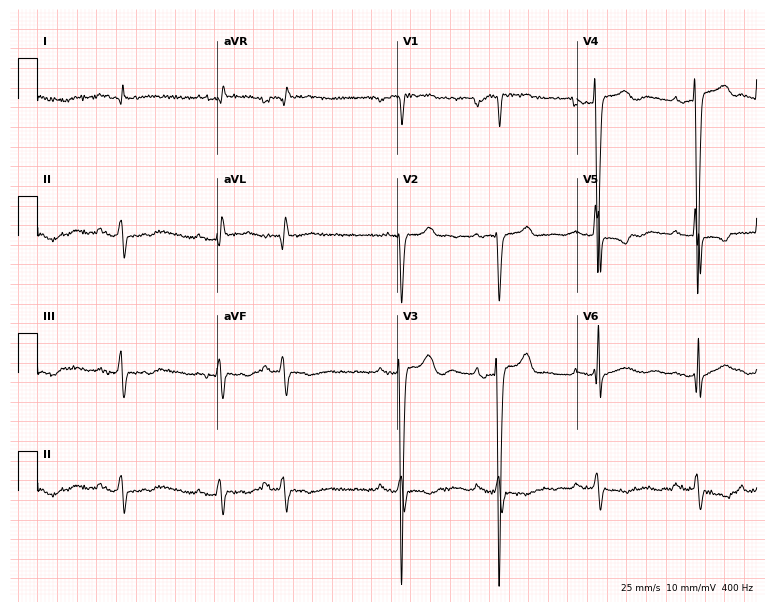
ECG (7.3-second recording at 400 Hz) — a man, 75 years old. Screened for six findings — first-degree AV block, right bundle branch block, left bundle branch block, sinus bradycardia, atrial fibrillation, sinus tachycardia — none is recorded. Only these six findings were labelled.